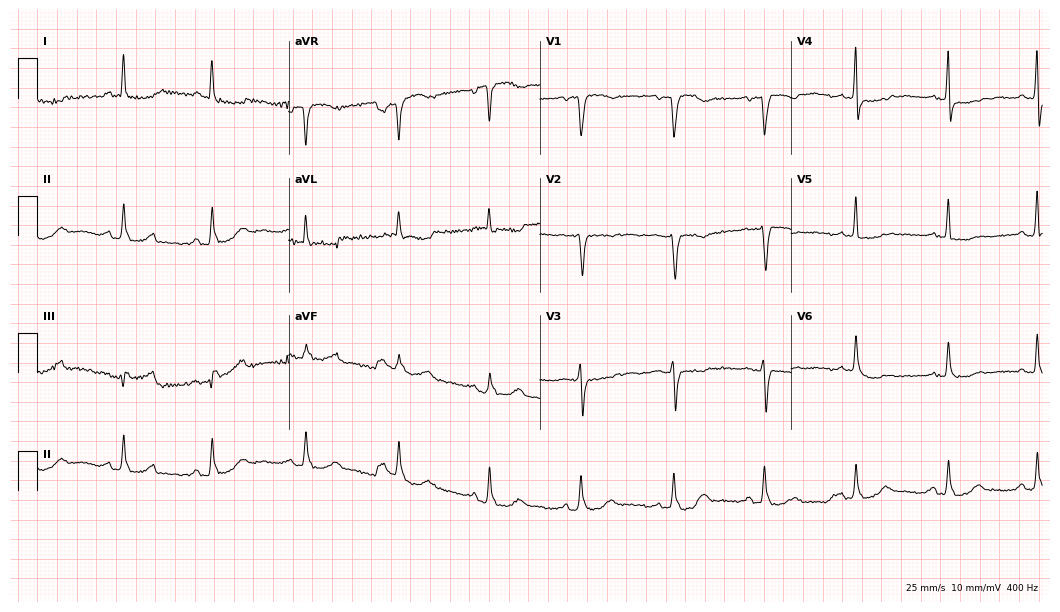
12-lead ECG from a woman, 63 years old. Screened for six findings — first-degree AV block, right bundle branch block, left bundle branch block, sinus bradycardia, atrial fibrillation, sinus tachycardia — none is recorded.